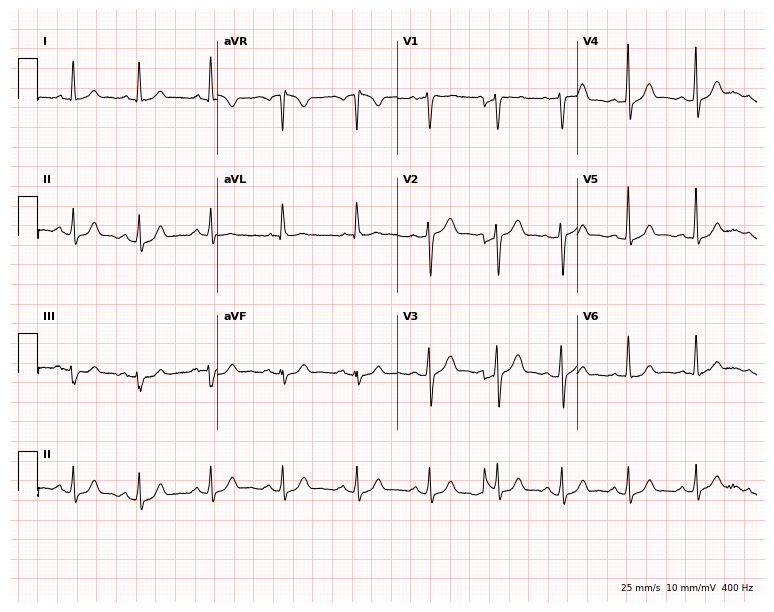
Electrocardiogram (7.3-second recording at 400 Hz), a 47-year-old man. Overall reading on record: normal ECG.